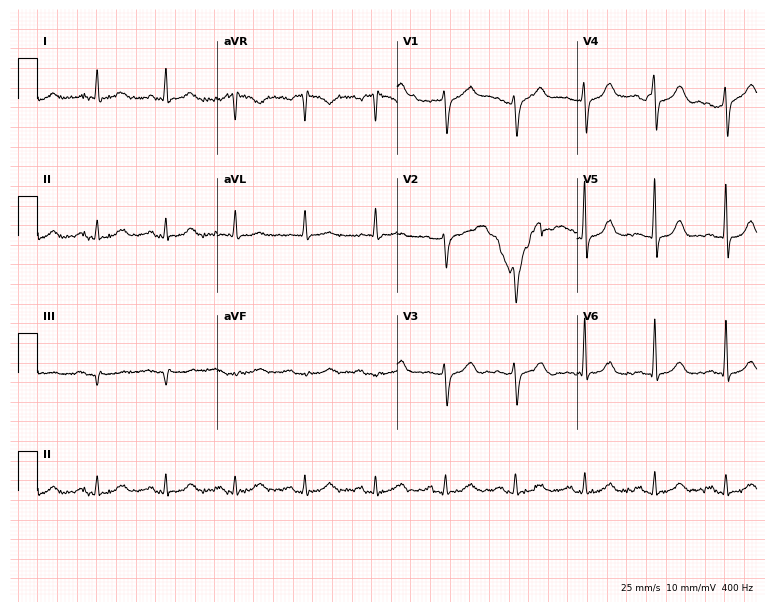
12-lead ECG from a 64-year-old male patient. Screened for six findings — first-degree AV block, right bundle branch block, left bundle branch block, sinus bradycardia, atrial fibrillation, sinus tachycardia — none is recorded.